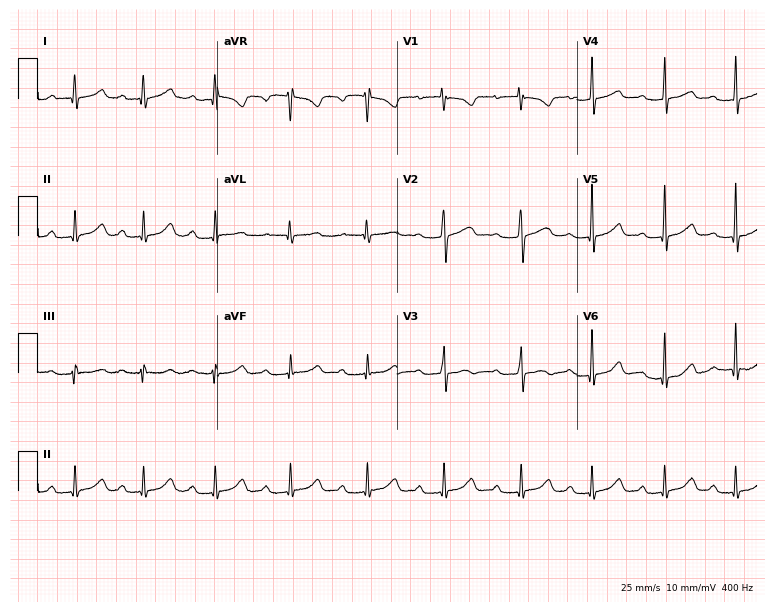
Standard 12-lead ECG recorded from a 20-year-old female. None of these six findings is recorded: first-degree AV block, right bundle branch block, left bundle branch block, sinus bradycardia, atrial fibrillation, sinus tachycardia.